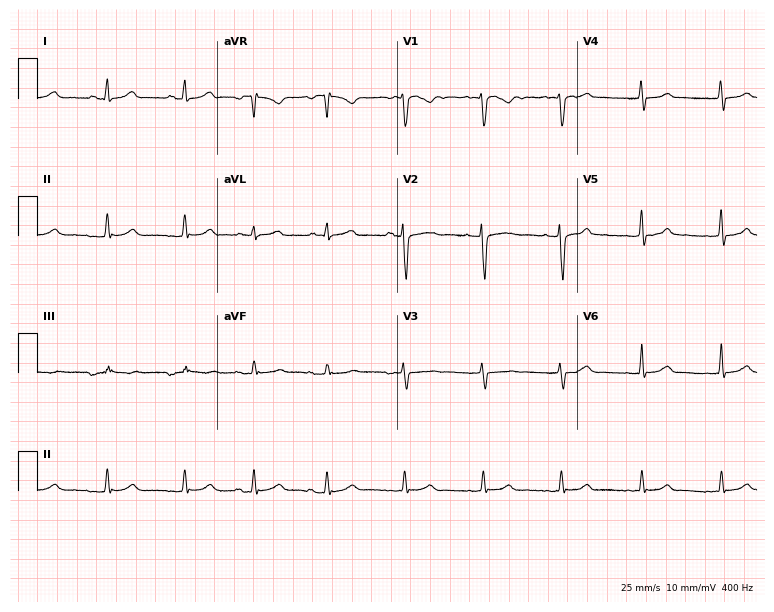
ECG (7.3-second recording at 400 Hz) — a female patient, 25 years old. Labelled as a normal ECG.